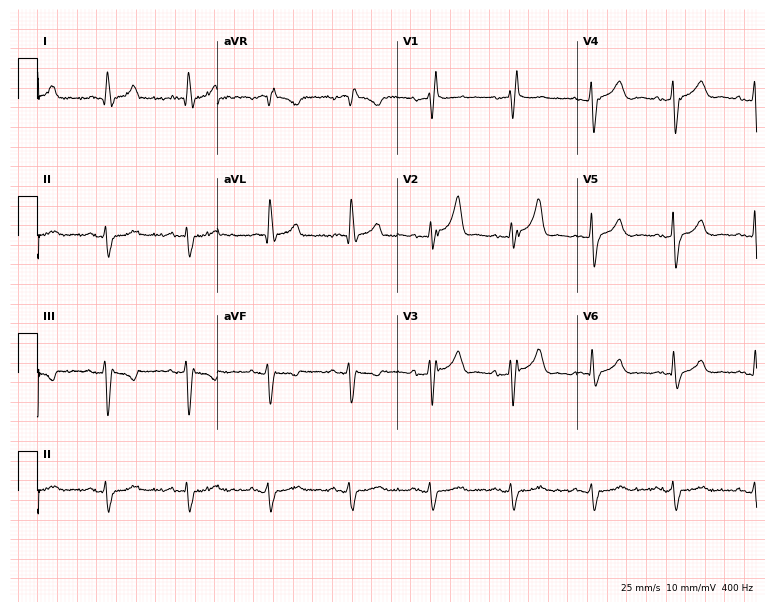
12-lead ECG from a 79-year-old male (7.3-second recording at 400 Hz). No first-degree AV block, right bundle branch block (RBBB), left bundle branch block (LBBB), sinus bradycardia, atrial fibrillation (AF) or sinus tachycardia recorded for this tracing.